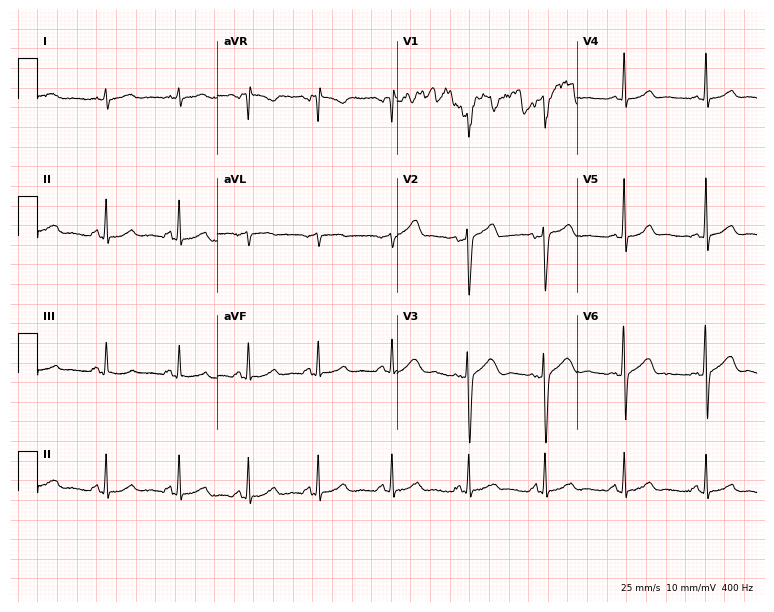
ECG (7.3-second recording at 400 Hz) — a 29-year-old man. Screened for six findings — first-degree AV block, right bundle branch block, left bundle branch block, sinus bradycardia, atrial fibrillation, sinus tachycardia — none is recorded. Only these six findings were labelled.